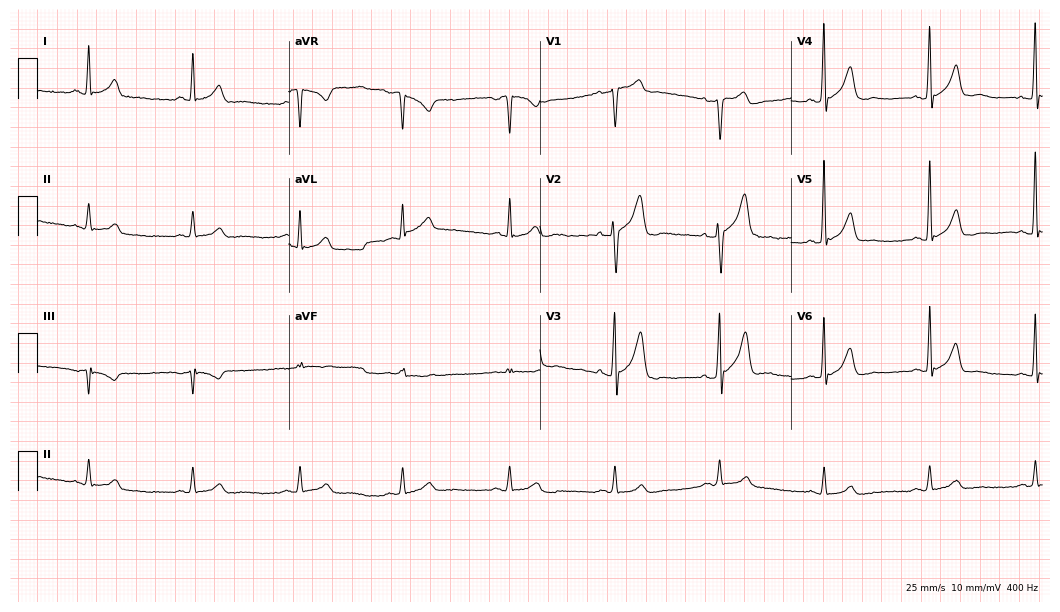
12-lead ECG from a male patient, 58 years old. Screened for six findings — first-degree AV block, right bundle branch block, left bundle branch block, sinus bradycardia, atrial fibrillation, sinus tachycardia — none is recorded.